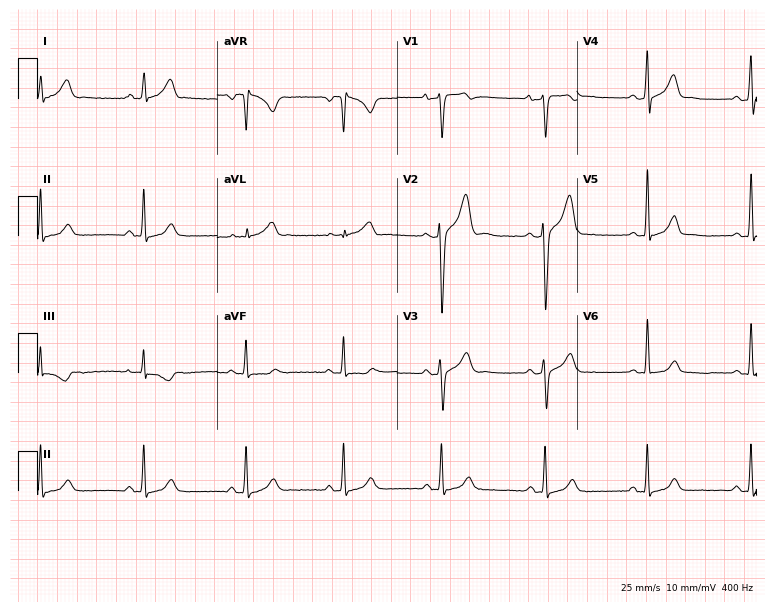
Electrocardiogram, a 29-year-old male patient. Of the six screened findings (first-degree AV block, right bundle branch block, left bundle branch block, sinus bradycardia, atrial fibrillation, sinus tachycardia), none is recorded.